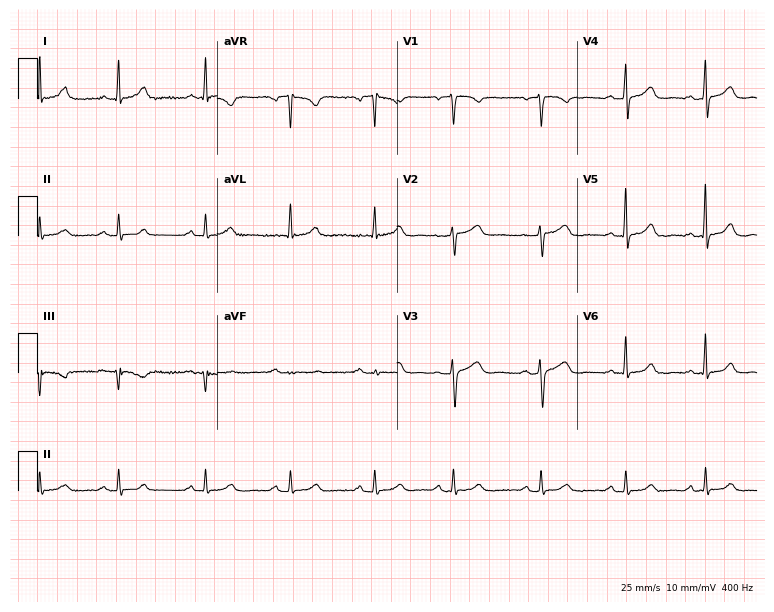
Resting 12-lead electrocardiogram. Patient: a 48-year-old woman. None of these six findings is recorded: first-degree AV block, right bundle branch block, left bundle branch block, sinus bradycardia, atrial fibrillation, sinus tachycardia.